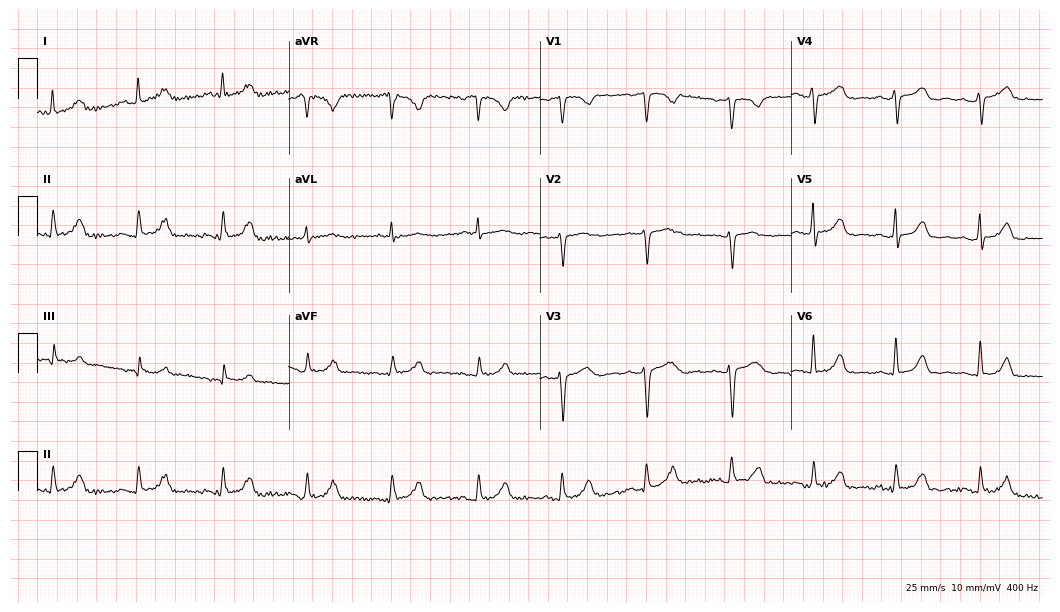
Resting 12-lead electrocardiogram. Patient: a woman, 38 years old. Read as a normal ECG.